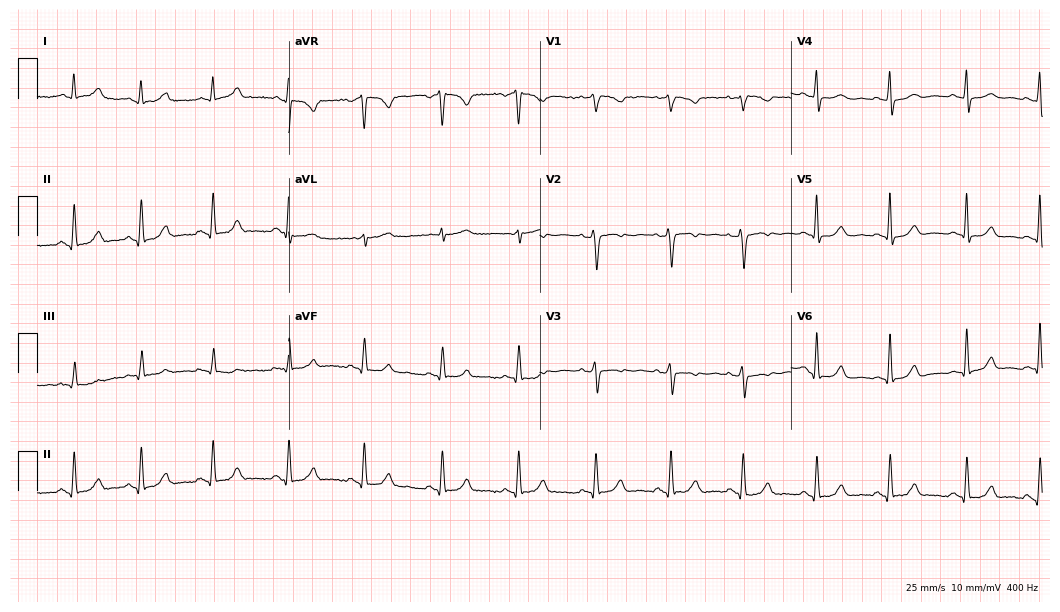
12-lead ECG from a female, 53 years old. No first-degree AV block, right bundle branch block (RBBB), left bundle branch block (LBBB), sinus bradycardia, atrial fibrillation (AF) or sinus tachycardia recorded for this tracing.